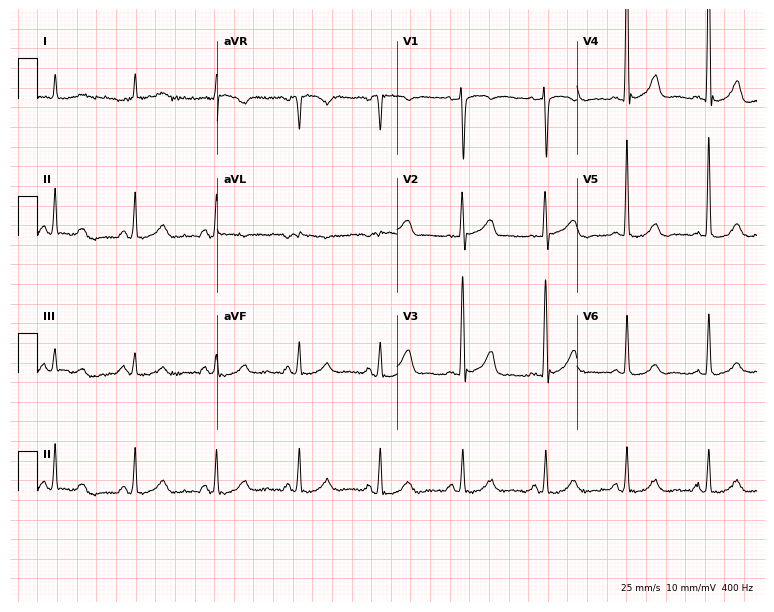
Standard 12-lead ECG recorded from an 84-year-old male patient. None of these six findings is recorded: first-degree AV block, right bundle branch block (RBBB), left bundle branch block (LBBB), sinus bradycardia, atrial fibrillation (AF), sinus tachycardia. Findings outside these six are not listed.